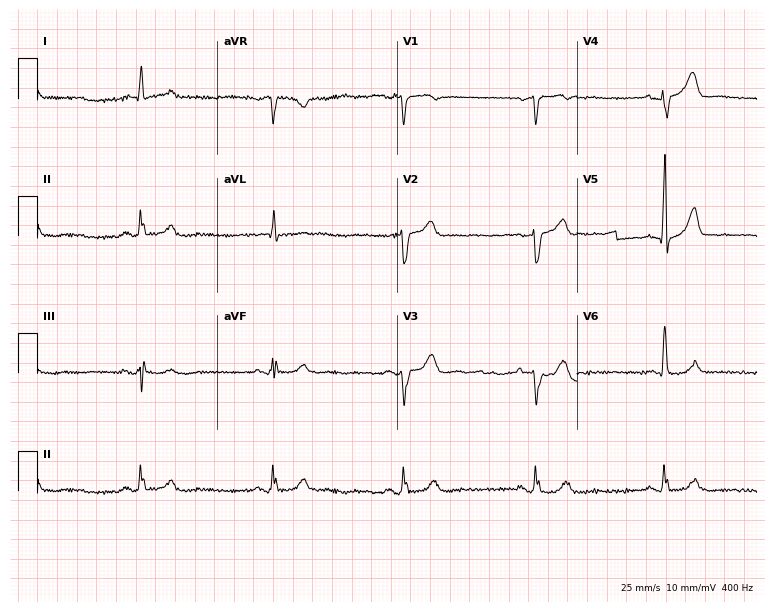
Resting 12-lead electrocardiogram (7.3-second recording at 400 Hz). Patient: a man, 79 years old. The tracing shows sinus bradycardia (a sinus rate of 50 beats per minute or less).